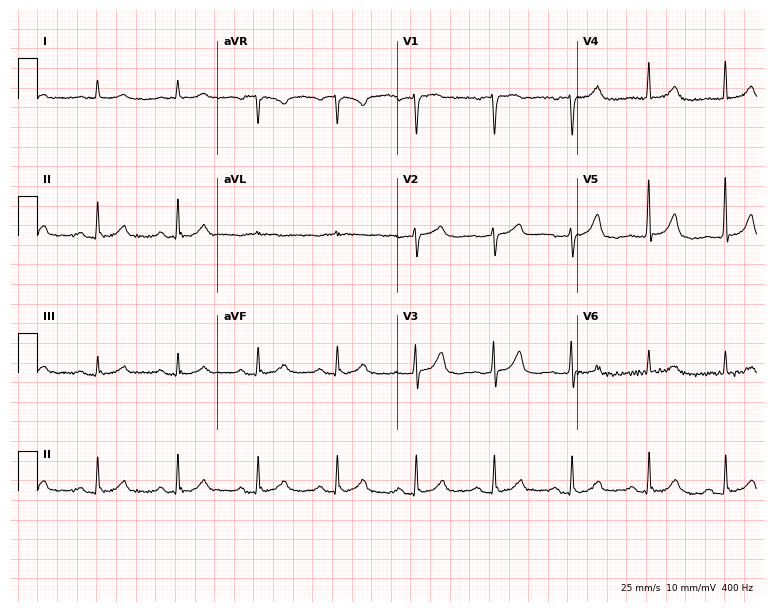
Resting 12-lead electrocardiogram (7.3-second recording at 400 Hz). Patient: an 83-year-old male. Read as a normal ECG.